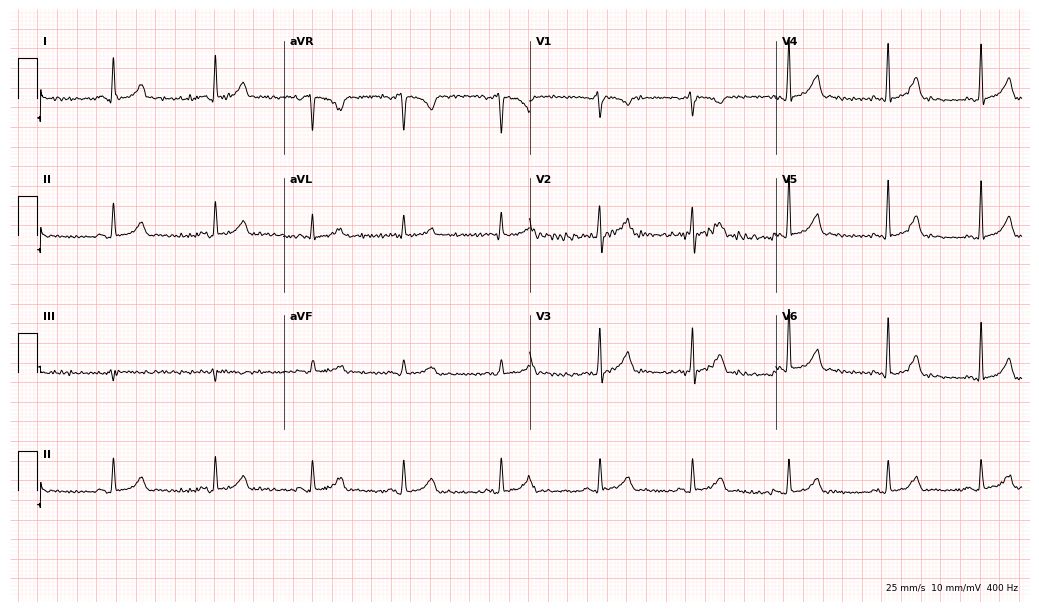
12-lead ECG from a female, 26 years old (10-second recording at 400 Hz). Recorded interpretation: within normal limits.